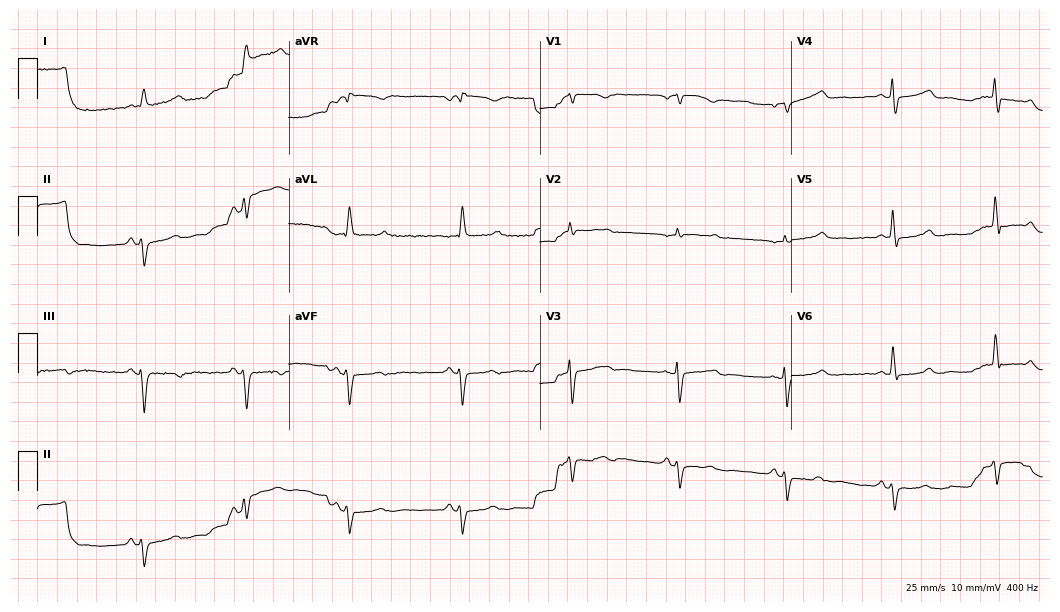
12-lead ECG from a female patient, 81 years old. No first-degree AV block, right bundle branch block, left bundle branch block, sinus bradycardia, atrial fibrillation or sinus tachycardia recorded for this tracing. Only these six findings were labelled.